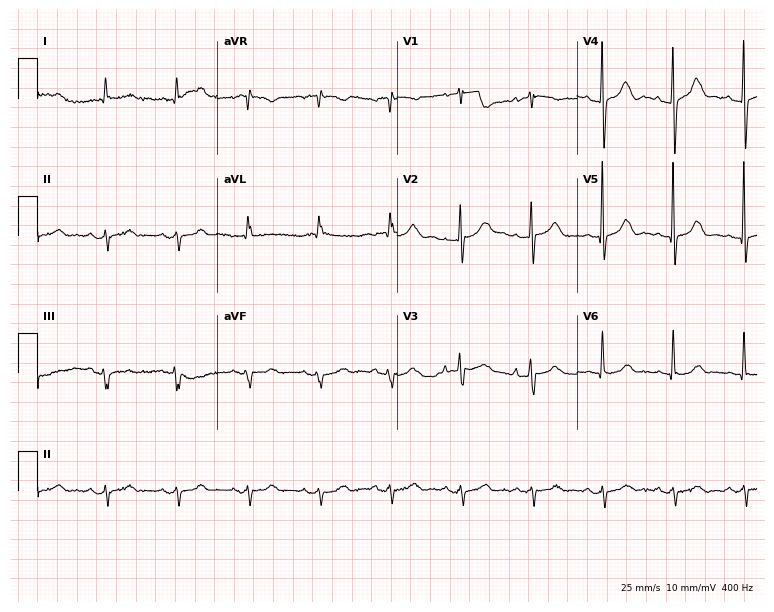
Resting 12-lead electrocardiogram. Patient: an 86-year-old male. None of these six findings is recorded: first-degree AV block, right bundle branch block, left bundle branch block, sinus bradycardia, atrial fibrillation, sinus tachycardia.